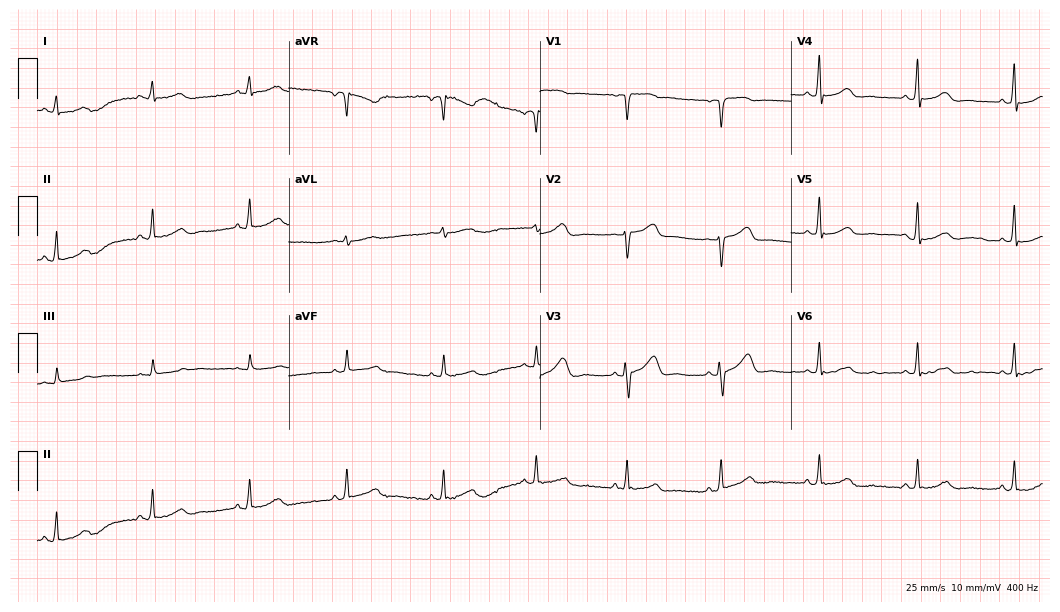
12-lead ECG from a 53-year-old female patient (10.2-second recording at 400 Hz). No first-degree AV block, right bundle branch block (RBBB), left bundle branch block (LBBB), sinus bradycardia, atrial fibrillation (AF) or sinus tachycardia recorded for this tracing. Only these six findings were labelled.